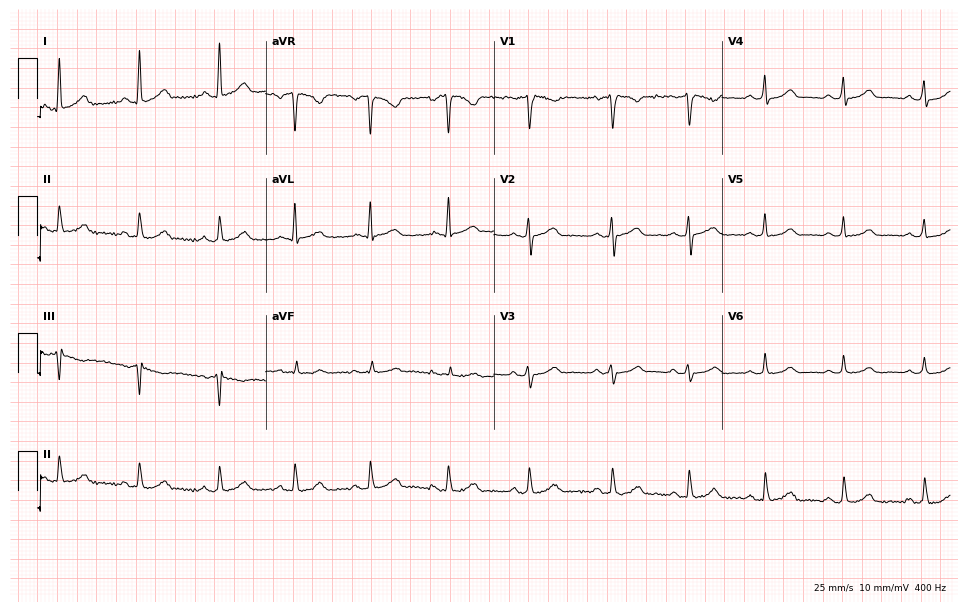
ECG (9.3-second recording at 400 Hz) — a 42-year-old female patient. Labelled as a normal ECG.